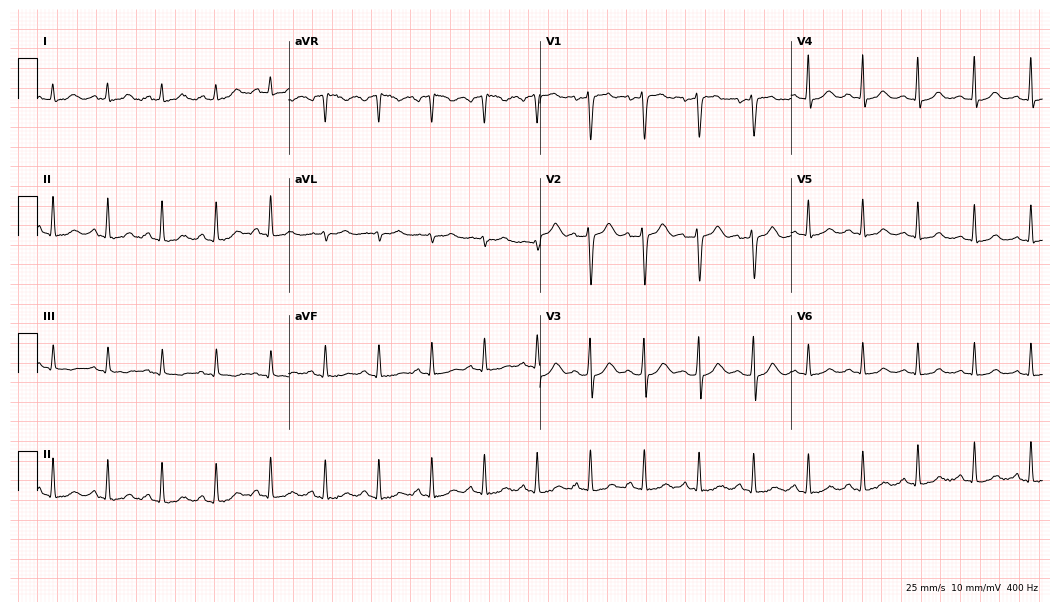
Electrocardiogram, a 28-year-old female patient. Interpretation includes sinus tachycardia (a sinus rate of 100 beats per minute or more).